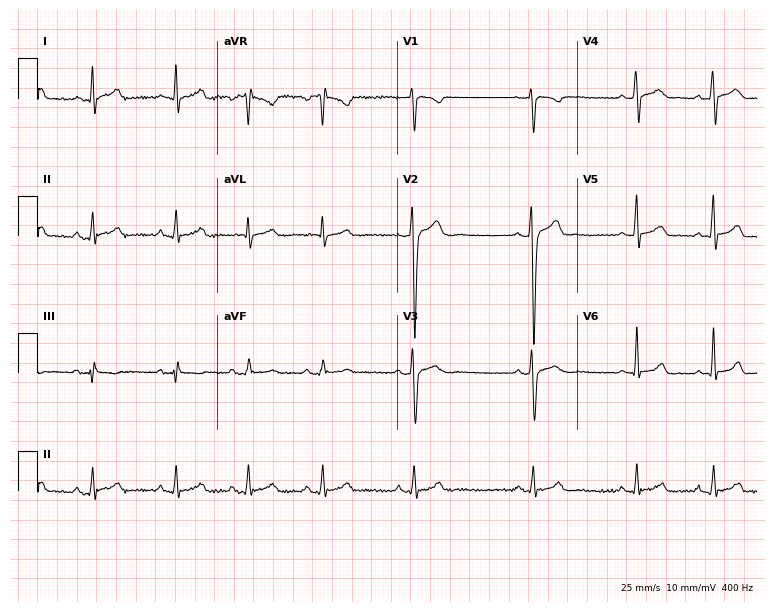
Standard 12-lead ECG recorded from a 19-year-old male (7.3-second recording at 400 Hz). Read as a normal ECG.